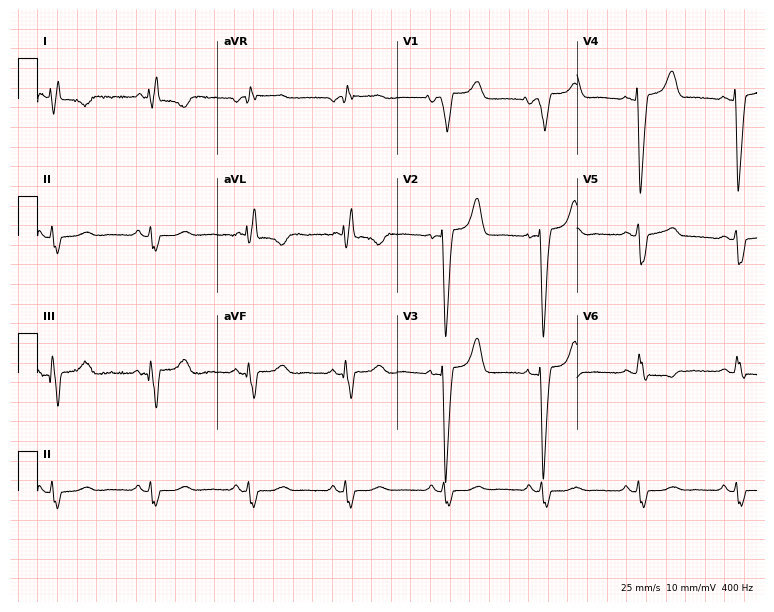
Resting 12-lead electrocardiogram (7.3-second recording at 400 Hz). Patient: a female, 81 years old. None of these six findings is recorded: first-degree AV block, right bundle branch block, left bundle branch block, sinus bradycardia, atrial fibrillation, sinus tachycardia. Other findings, if any, are not listed.